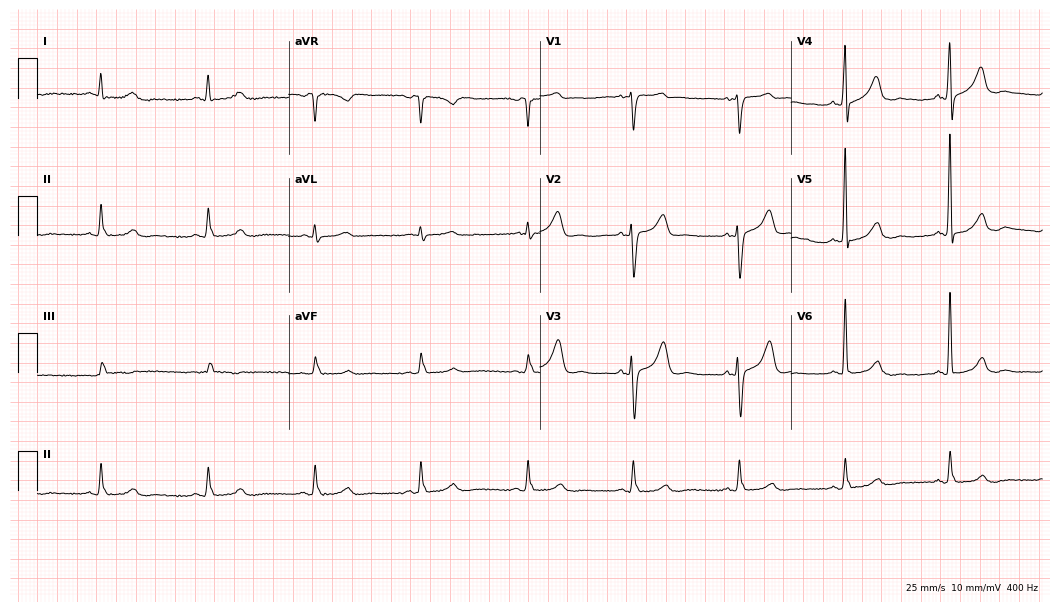
Electrocardiogram (10.2-second recording at 400 Hz), a female patient, 77 years old. Overall reading on record: normal ECG.